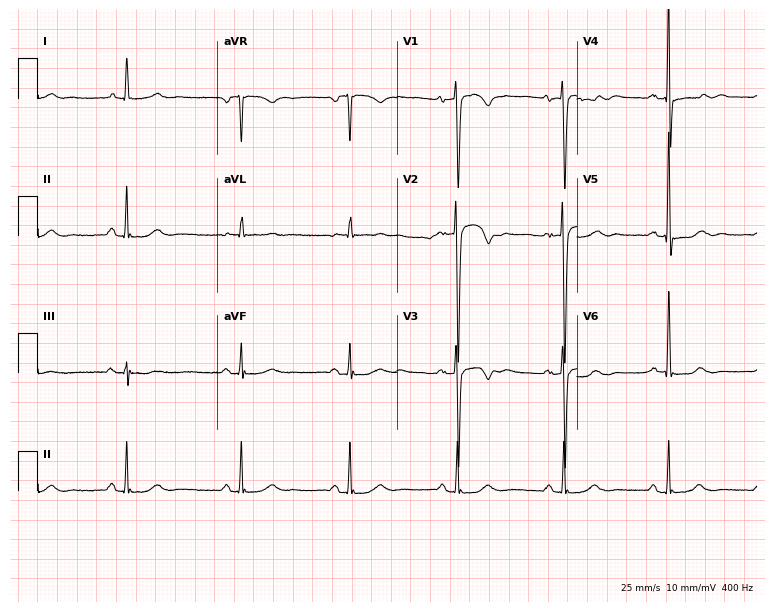
Electrocardiogram (7.3-second recording at 400 Hz), a 65-year-old female patient. Overall reading on record: normal ECG.